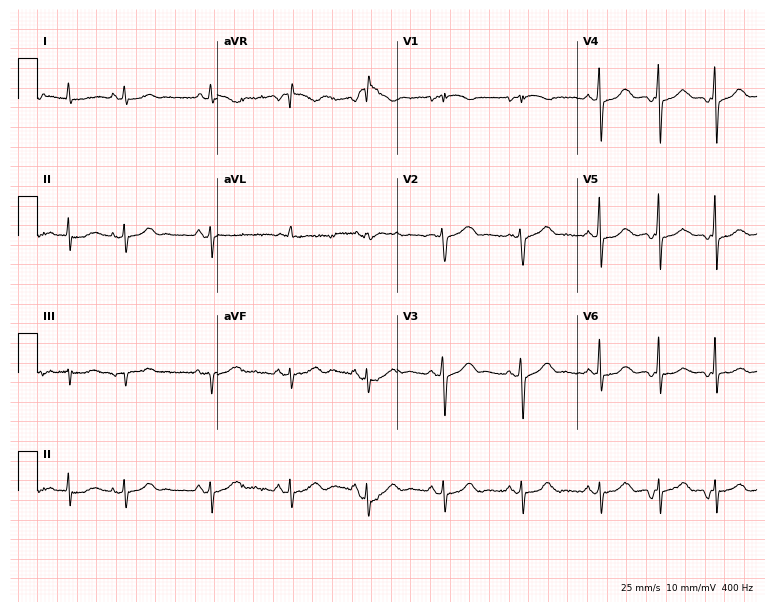
Standard 12-lead ECG recorded from a female patient, 69 years old (7.3-second recording at 400 Hz). None of these six findings is recorded: first-degree AV block, right bundle branch block, left bundle branch block, sinus bradycardia, atrial fibrillation, sinus tachycardia.